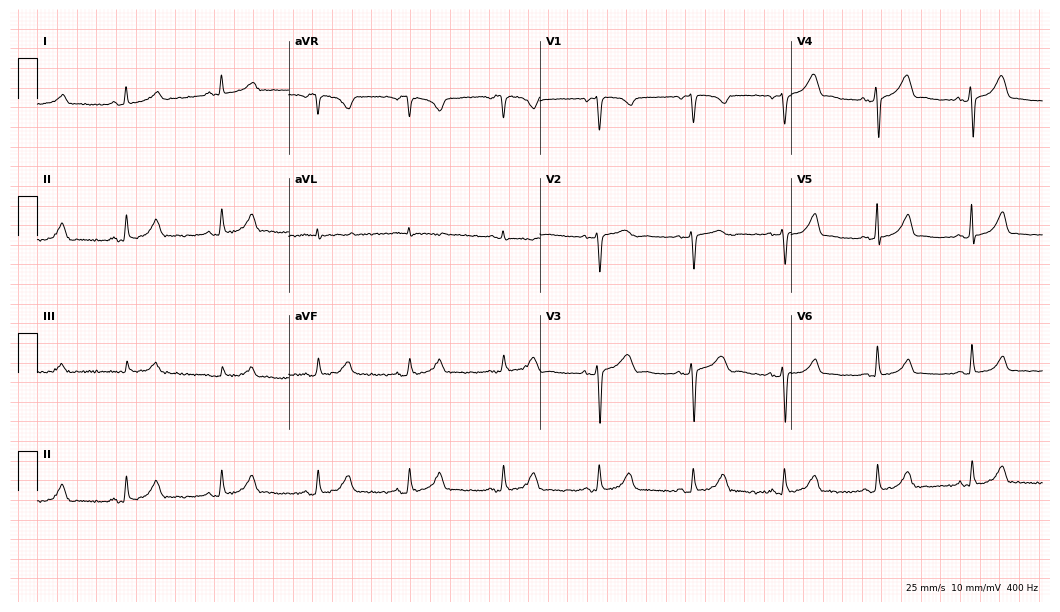
Resting 12-lead electrocardiogram. Patient: a 43-year-old female. Read as a normal ECG.